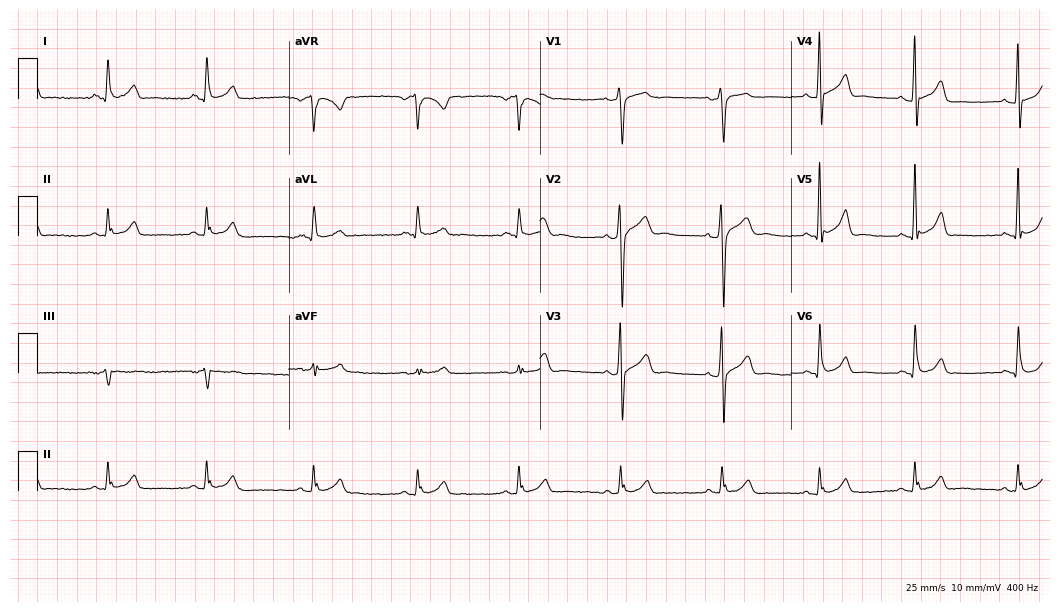
12-lead ECG from a male, 28 years old. Labelled as a normal ECG.